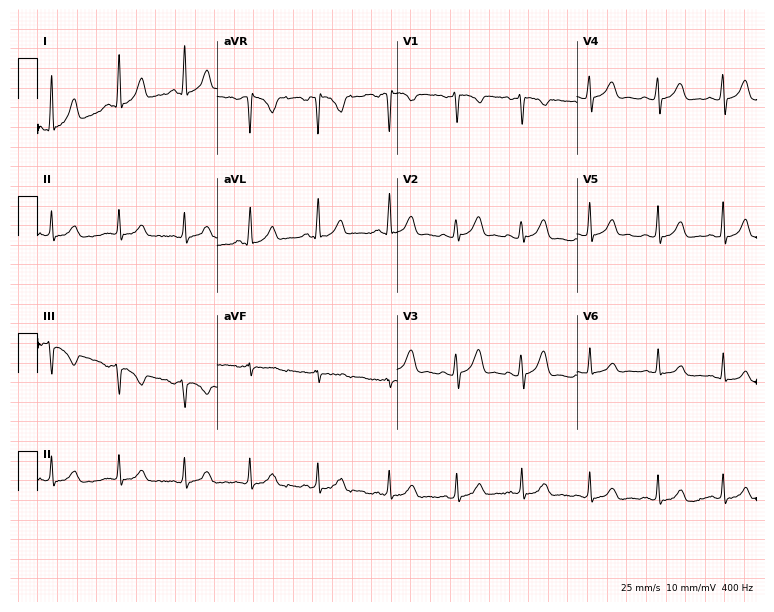
Electrocardiogram, a 22-year-old woman. Of the six screened findings (first-degree AV block, right bundle branch block (RBBB), left bundle branch block (LBBB), sinus bradycardia, atrial fibrillation (AF), sinus tachycardia), none is recorded.